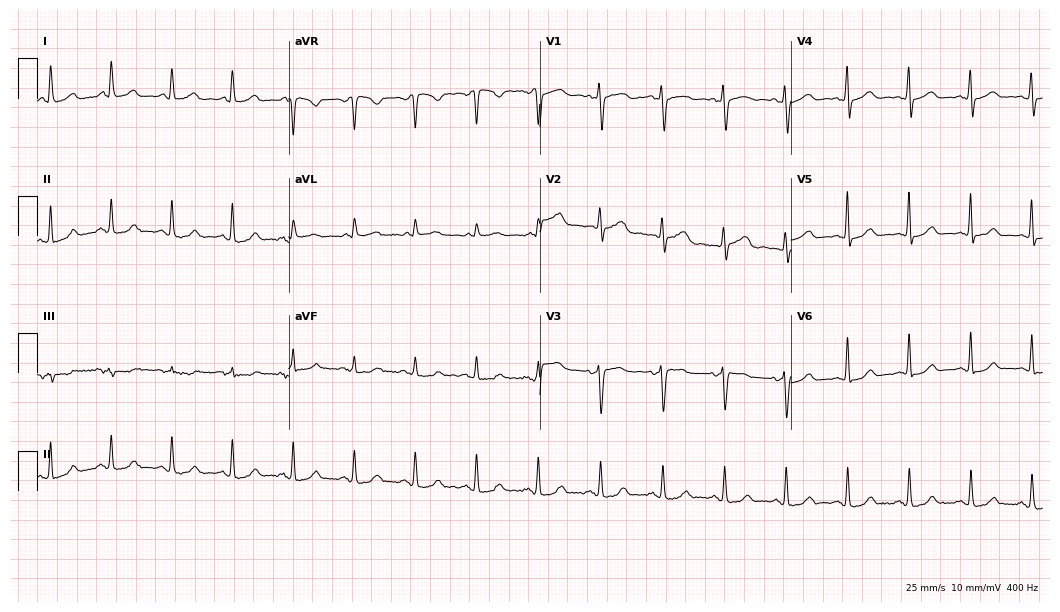
ECG — a female patient, 61 years old. Labelled as a normal ECG.